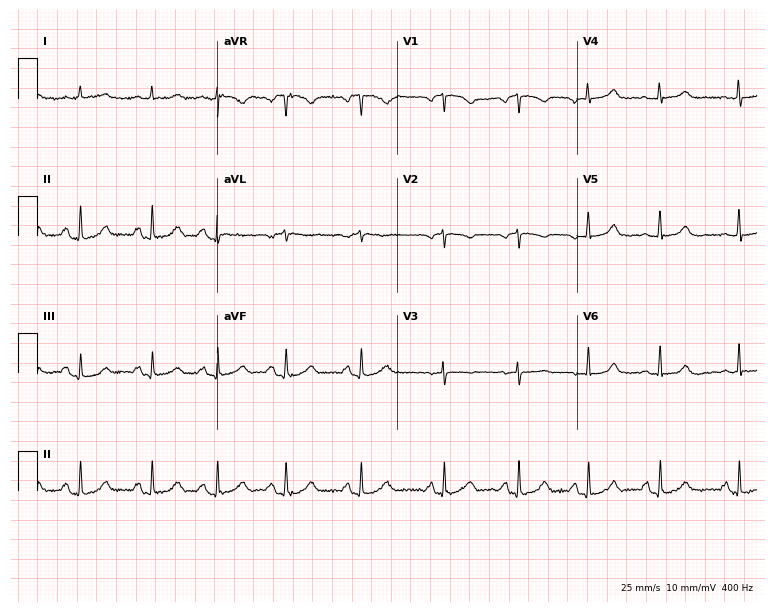
12-lead ECG from a 76-year-old woman. Screened for six findings — first-degree AV block, right bundle branch block, left bundle branch block, sinus bradycardia, atrial fibrillation, sinus tachycardia — none is recorded.